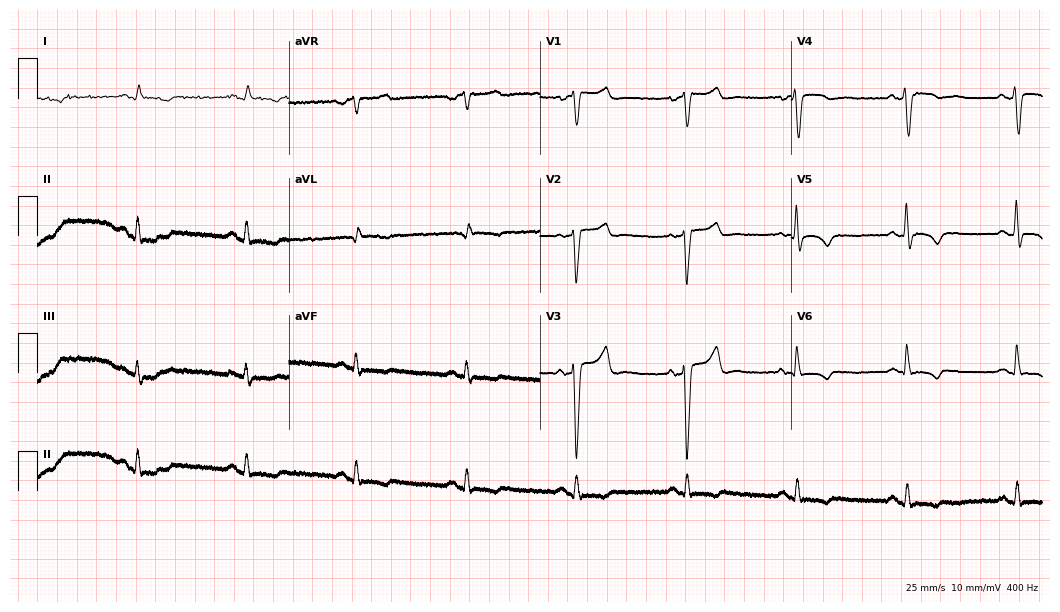
Standard 12-lead ECG recorded from a 59-year-old male. None of these six findings is recorded: first-degree AV block, right bundle branch block, left bundle branch block, sinus bradycardia, atrial fibrillation, sinus tachycardia.